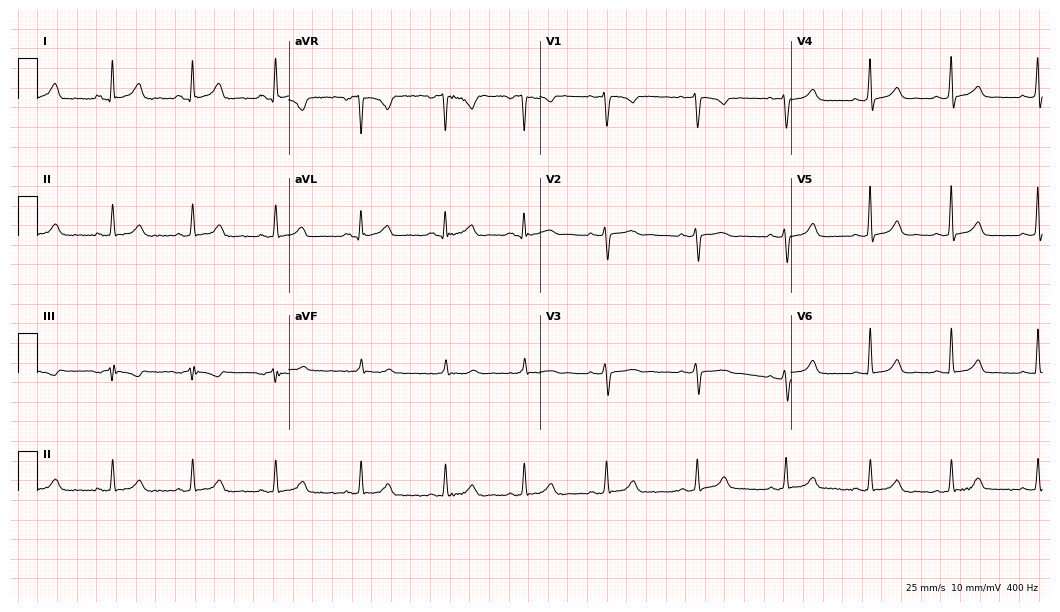
ECG — a 17-year-old female. Labelled as a normal ECG.